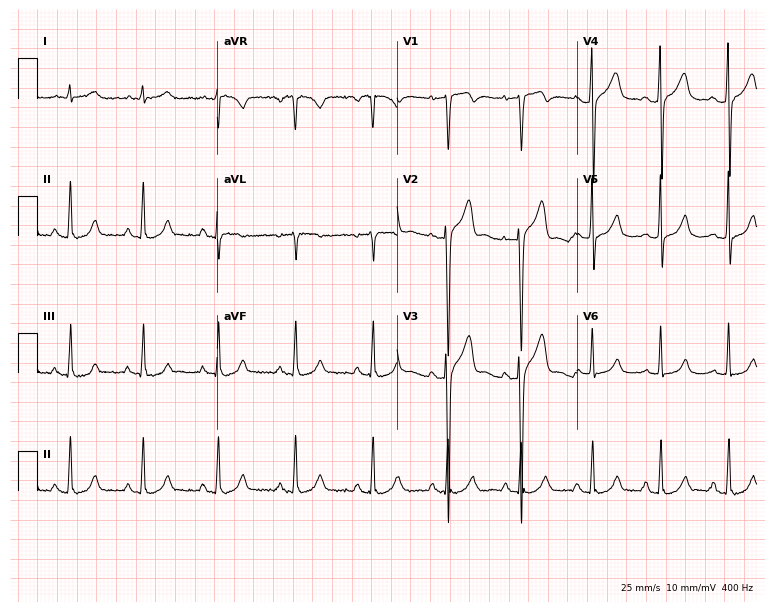
Electrocardiogram (7.3-second recording at 400 Hz), a 38-year-old male. Of the six screened findings (first-degree AV block, right bundle branch block (RBBB), left bundle branch block (LBBB), sinus bradycardia, atrial fibrillation (AF), sinus tachycardia), none is recorded. Other findings, if any, are not listed.